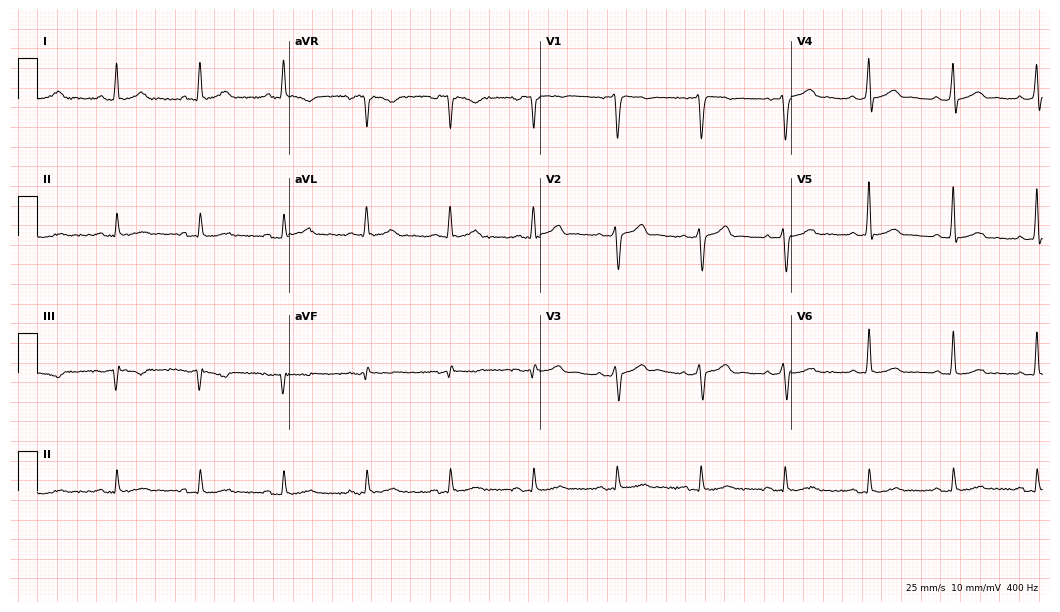
ECG (10.2-second recording at 400 Hz) — a male patient, 51 years old. Screened for six findings — first-degree AV block, right bundle branch block, left bundle branch block, sinus bradycardia, atrial fibrillation, sinus tachycardia — none is recorded.